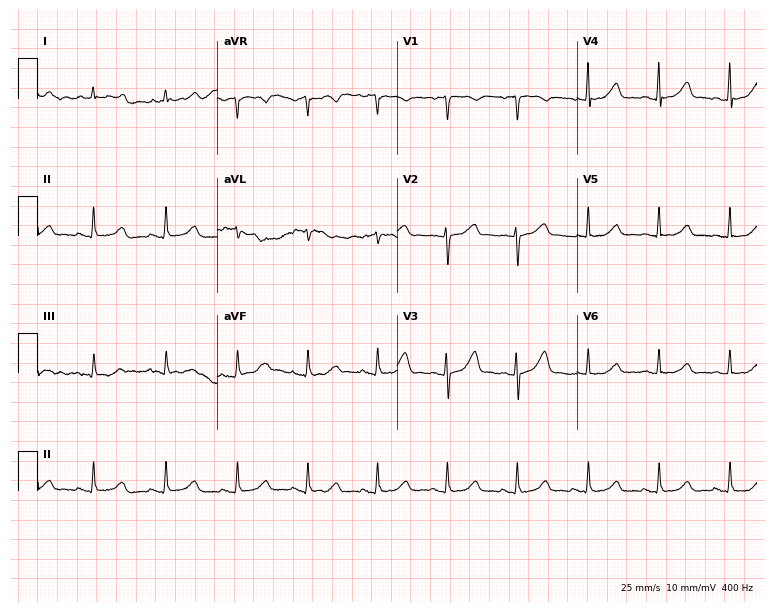
Resting 12-lead electrocardiogram. Patient: a woman, 61 years old. Read as a normal ECG.